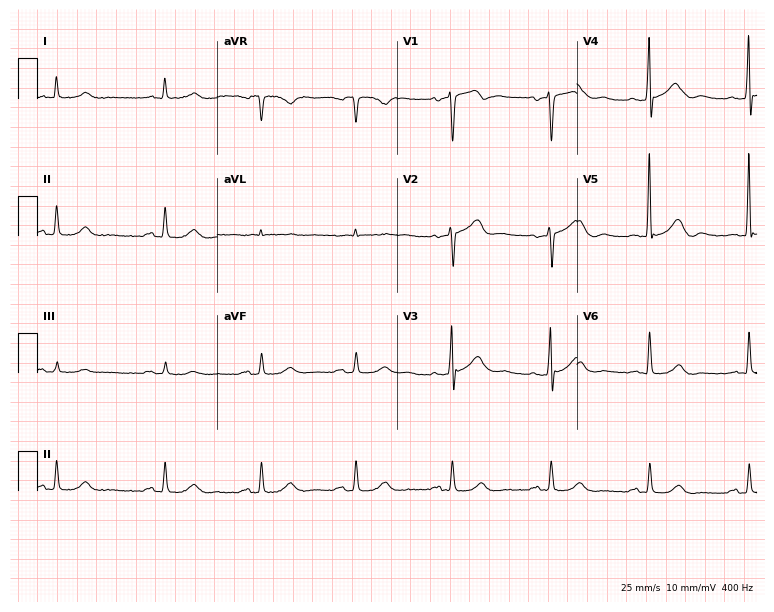
12-lead ECG (7.3-second recording at 400 Hz) from an 84-year-old male patient. Screened for six findings — first-degree AV block, right bundle branch block, left bundle branch block, sinus bradycardia, atrial fibrillation, sinus tachycardia — none is recorded.